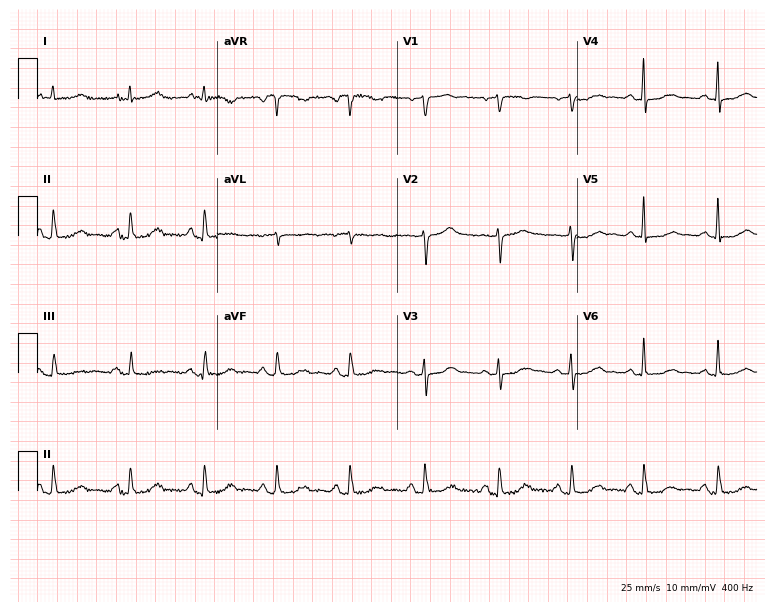
12-lead ECG from a 69-year-old female (7.3-second recording at 400 Hz). Recorded interpretation: within normal limits.